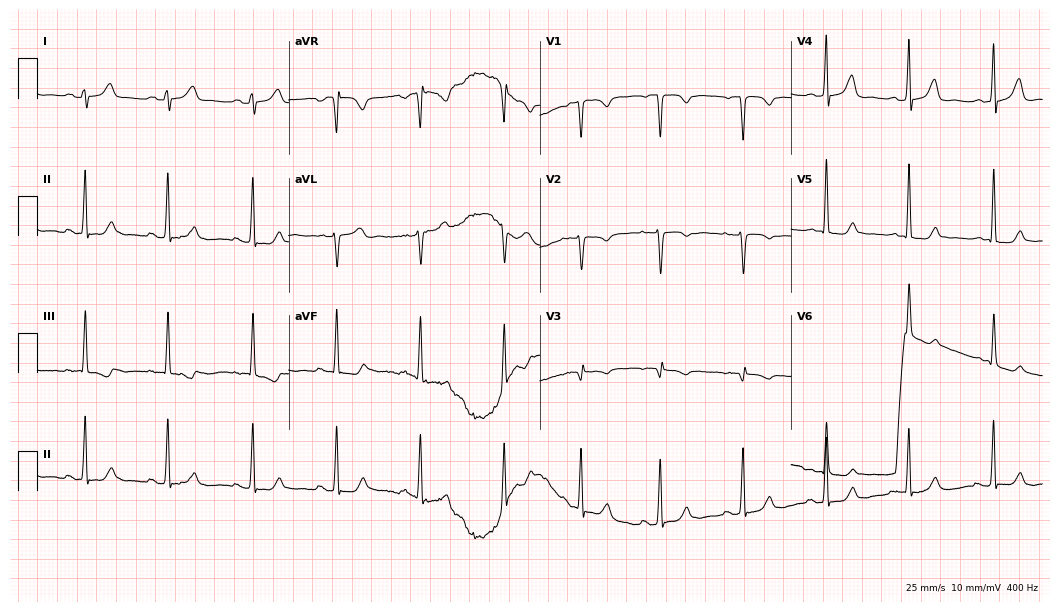
Resting 12-lead electrocardiogram (10.2-second recording at 400 Hz). Patient: a woman, 47 years old. Read as a normal ECG.